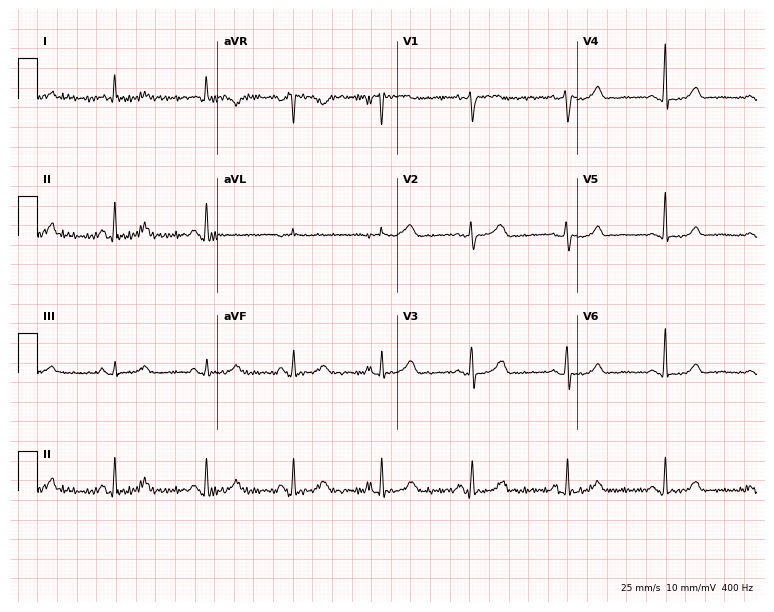
Electrocardiogram (7.3-second recording at 400 Hz), a 54-year-old female patient. Overall reading on record: normal ECG.